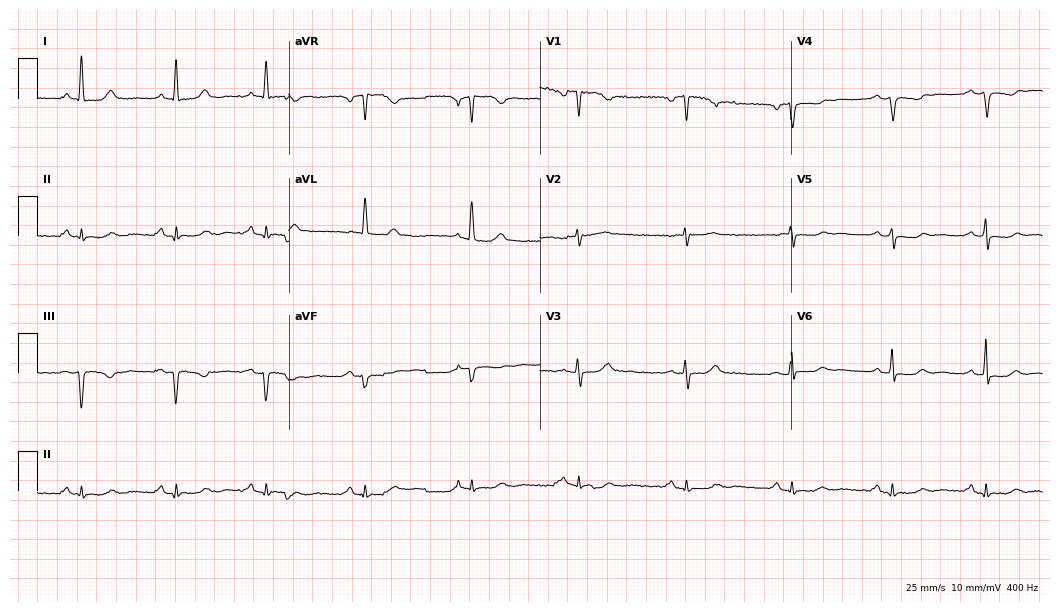
Resting 12-lead electrocardiogram. Patient: a 48-year-old woman. Read as a normal ECG.